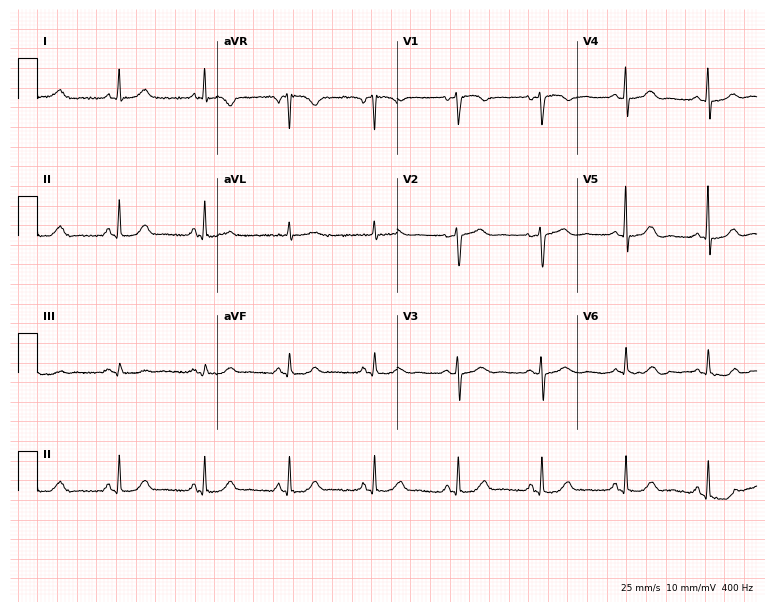
12-lead ECG from a 71-year-old woman. Recorded interpretation: within normal limits.